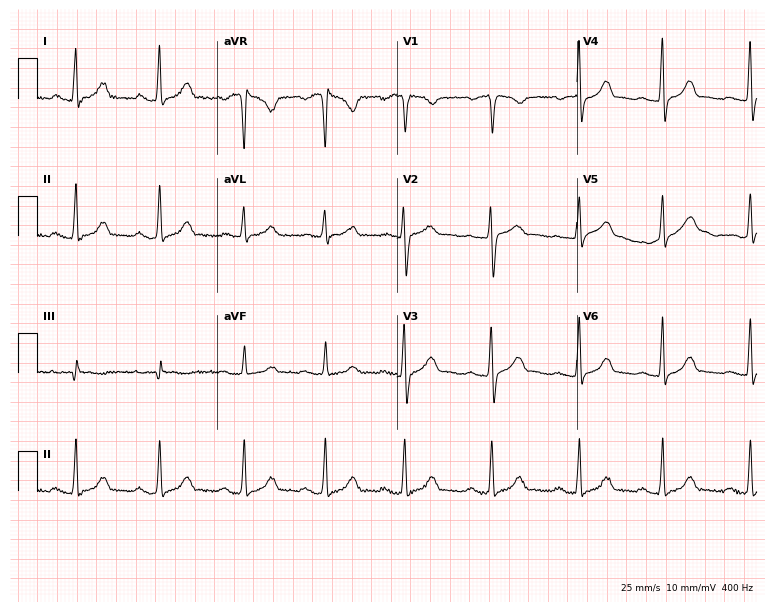
12-lead ECG from a woman, 31 years old (7.3-second recording at 400 Hz). Shows first-degree AV block.